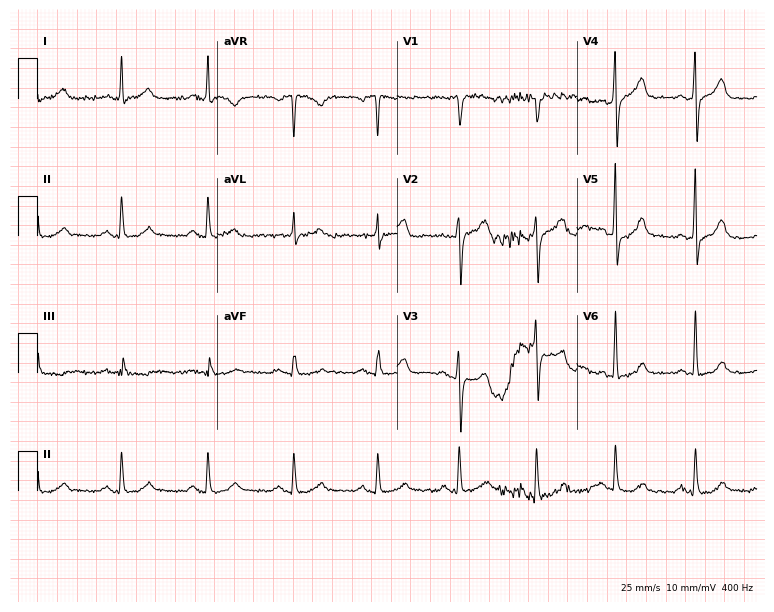
Electrocardiogram (7.3-second recording at 400 Hz), a 49-year-old woman. Of the six screened findings (first-degree AV block, right bundle branch block (RBBB), left bundle branch block (LBBB), sinus bradycardia, atrial fibrillation (AF), sinus tachycardia), none is recorded. Other findings, if any, are not listed.